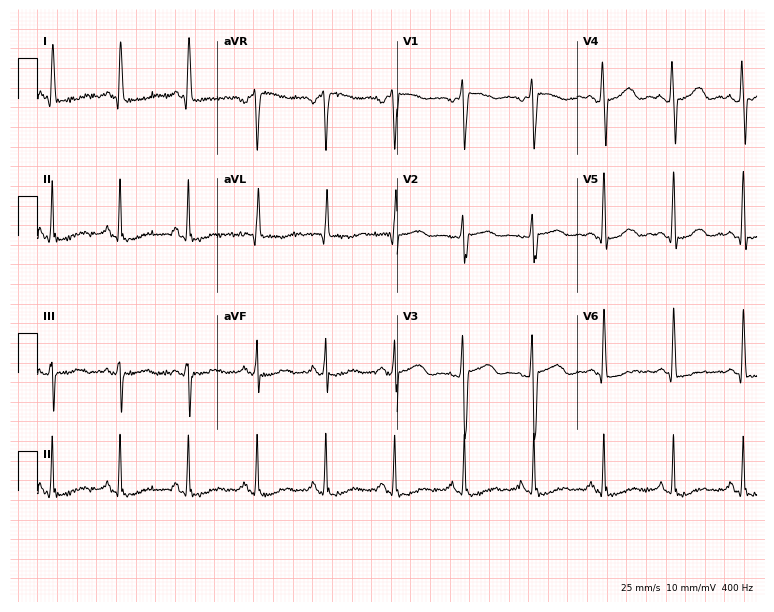
Resting 12-lead electrocardiogram (7.3-second recording at 400 Hz). Patient: a female, 45 years old. None of these six findings is recorded: first-degree AV block, right bundle branch block, left bundle branch block, sinus bradycardia, atrial fibrillation, sinus tachycardia. Only these six findings were labelled.